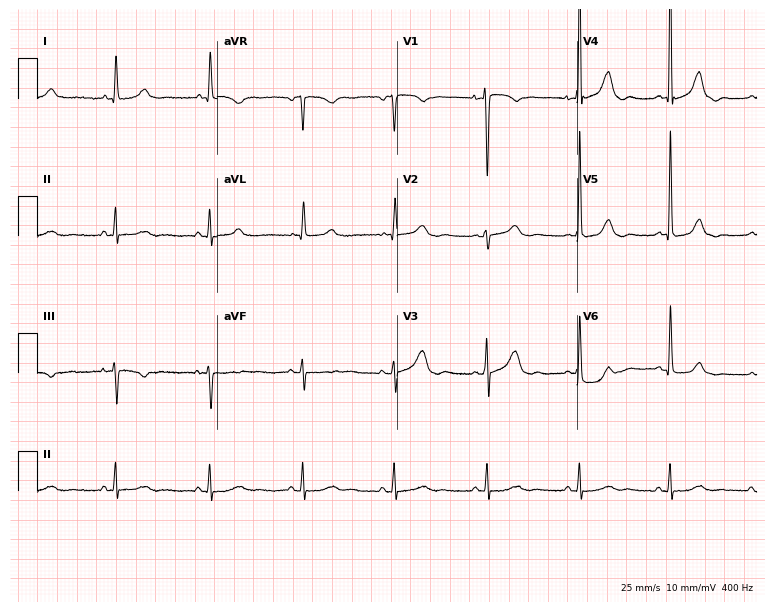
Standard 12-lead ECG recorded from a 26-year-old female patient (7.3-second recording at 400 Hz). Read as a normal ECG.